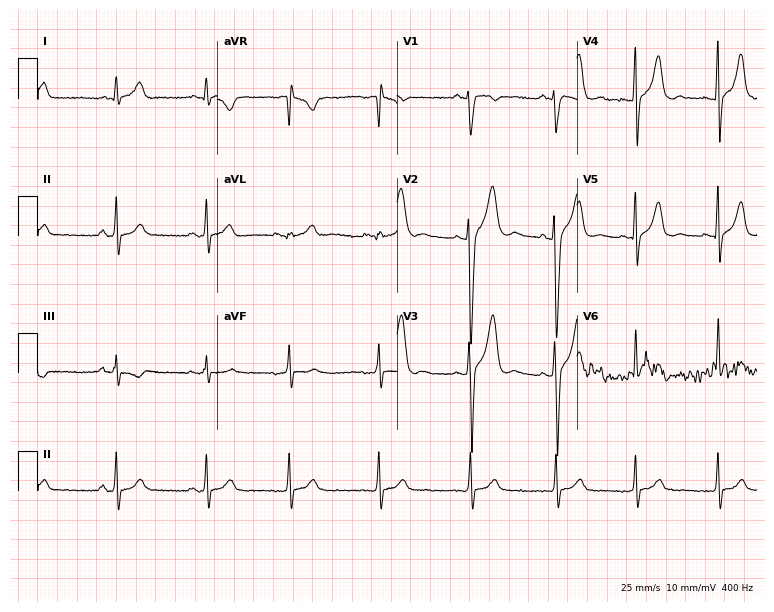
12-lead ECG from a man, 18 years old. No first-degree AV block, right bundle branch block, left bundle branch block, sinus bradycardia, atrial fibrillation or sinus tachycardia recorded for this tracing.